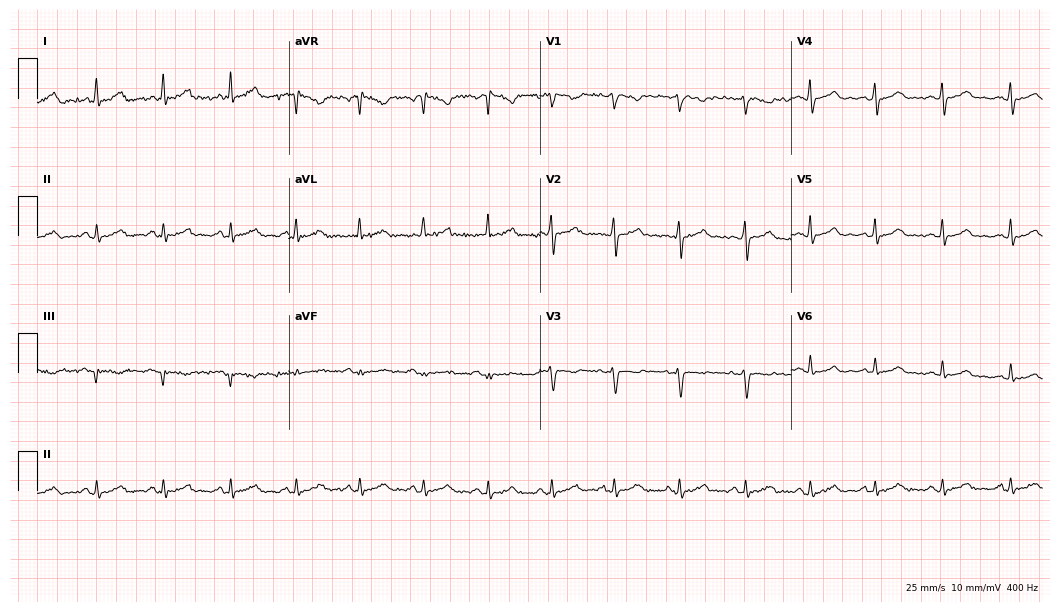
Electrocardiogram (10.2-second recording at 400 Hz), a 41-year-old female patient. Overall reading on record: normal ECG.